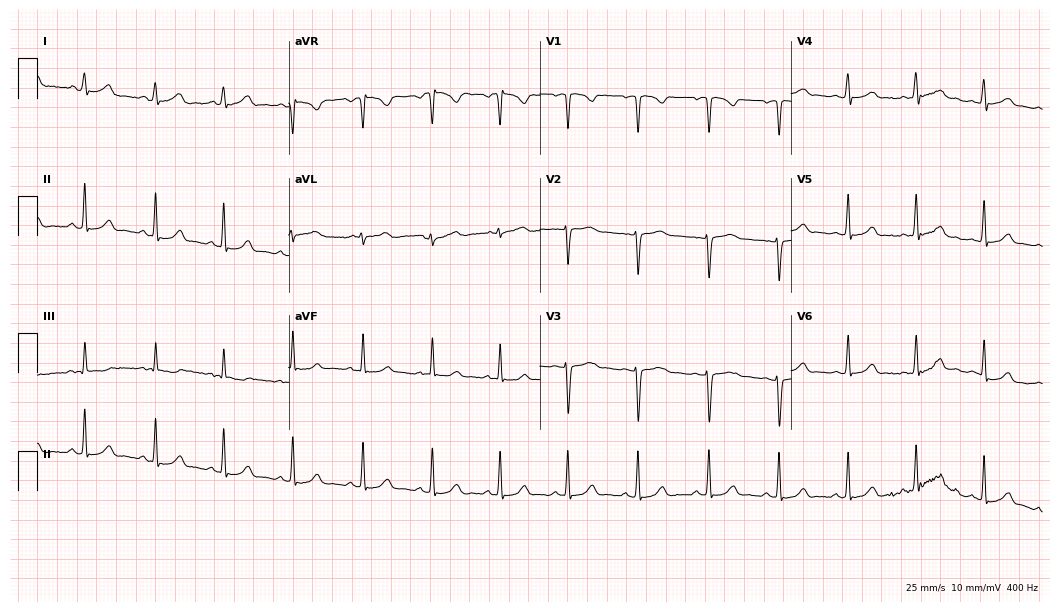
12-lead ECG from a female, 20 years old. Recorded interpretation: within normal limits.